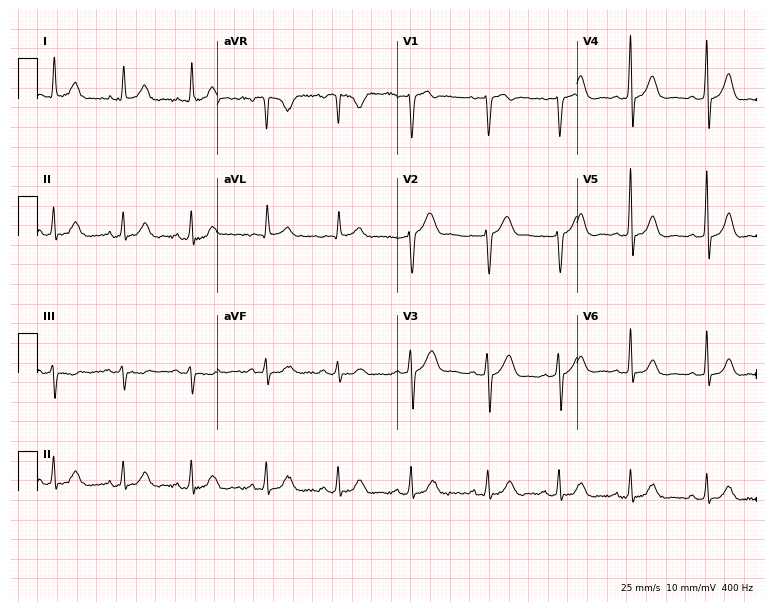
12-lead ECG from a female, 53 years old. No first-degree AV block, right bundle branch block (RBBB), left bundle branch block (LBBB), sinus bradycardia, atrial fibrillation (AF) or sinus tachycardia recorded for this tracing.